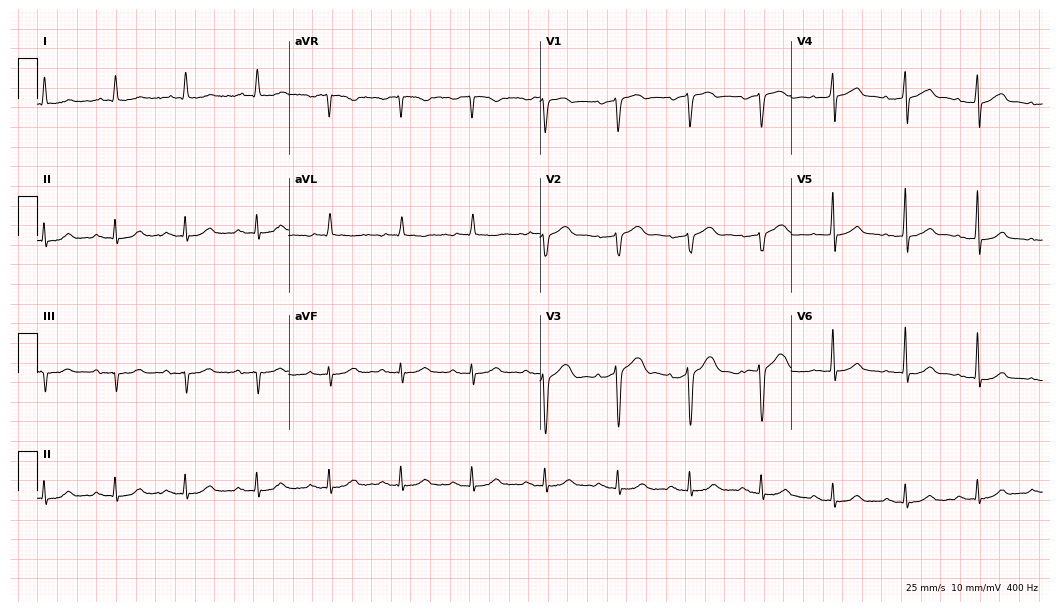
ECG — a male, 64 years old. Screened for six findings — first-degree AV block, right bundle branch block, left bundle branch block, sinus bradycardia, atrial fibrillation, sinus tachycardia — none is recorded. Only these six findings were labelled.